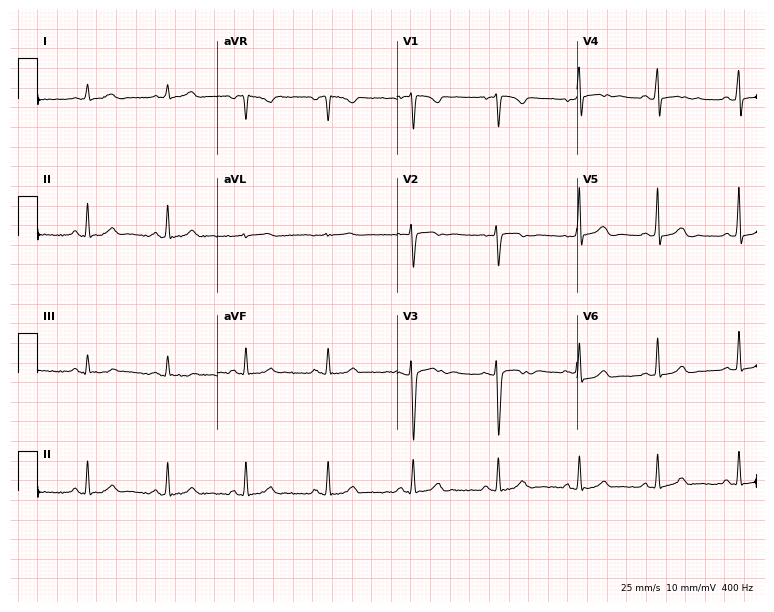
Resting 12-lead electrocardiogram. Patient: a 23-year-old woman. None of these six findings is recorded: first-degree AV block, right bundle branch block (RBBB), left bundle branch block (LBBB), sinus bradycardia, atrial fibrillation (AF), sinus tachycardia. Findings outside these six are not listed.